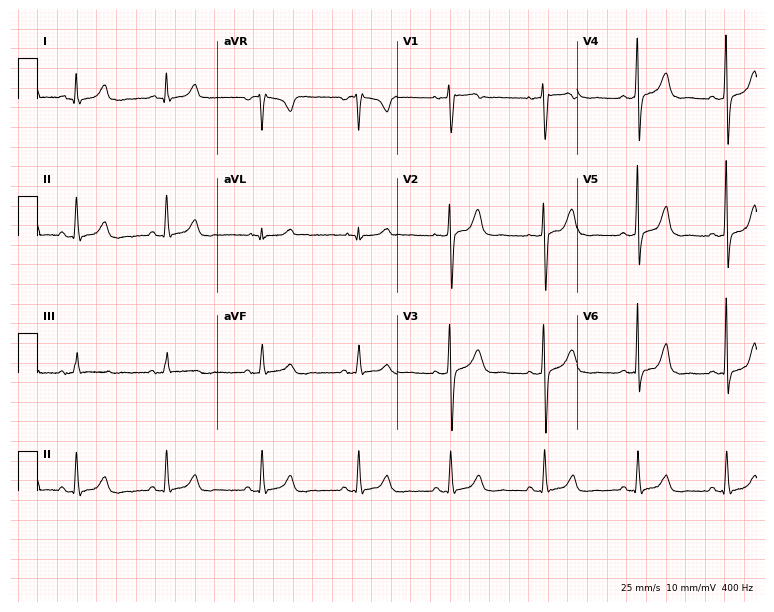
Electrocardiogram, a 52-year-old female. Of the six screened findings (first-degree AV block, right bundle branch block, left bundle branch block, sinus bradycardia, atrial fibrillation, sinus tachycardia), none is recorded. Only these six findings were labelled.